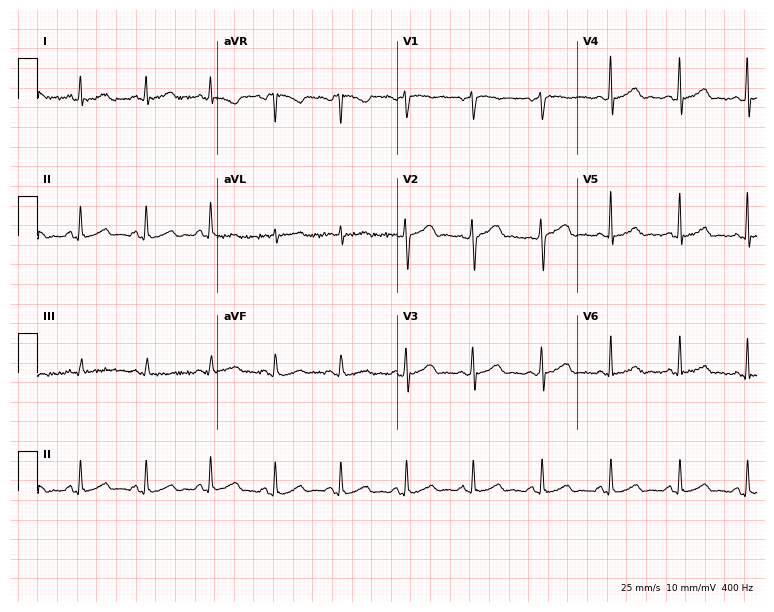
12-lead ECG from a 45-year-old woman. Recorded interpretation: within normal limits.